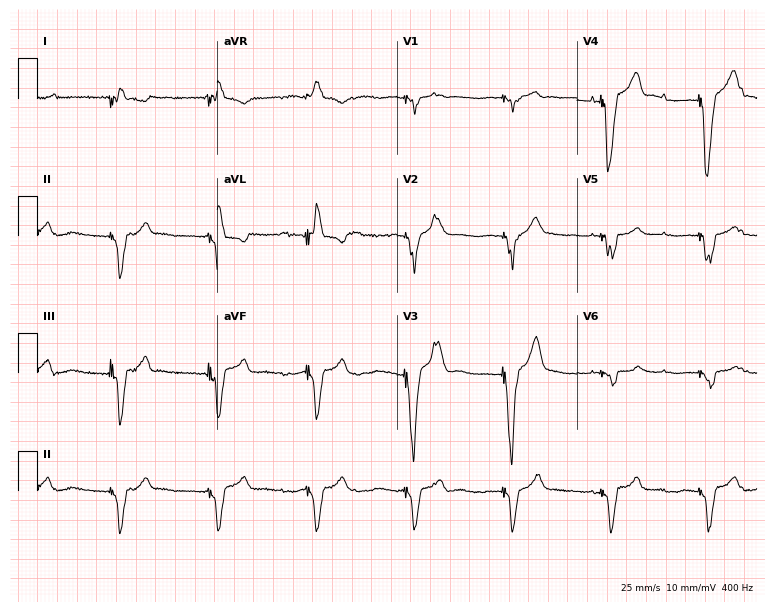
12-lead ECG from a female patient, 84 years old. Screened for six findings — first-degree AV block, right bundle branch block (RBBB), left bundle branch block (LBBB), sinus bradycardia, atrial fibrillation (AF), sinus tachycardia — none is recorded. Only these six findings were labelled.